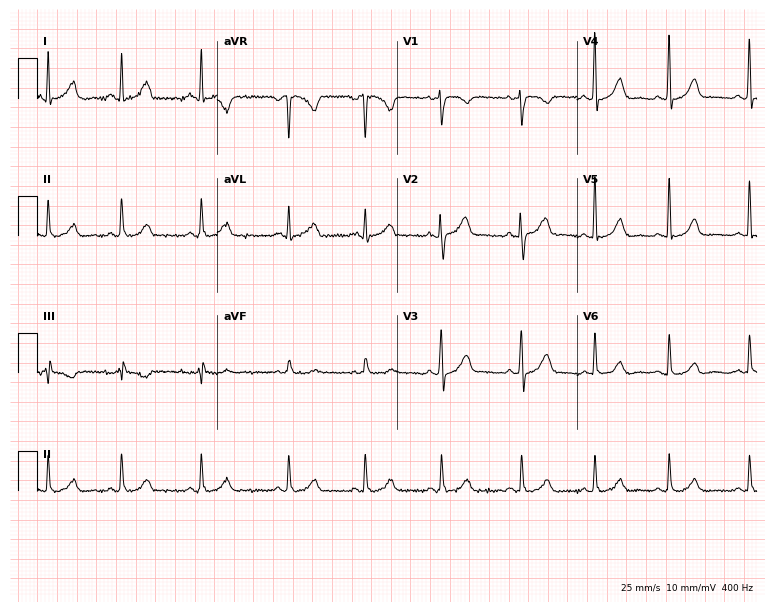
Resting 12-lead electrocardiogram (7.3-second recording at 400 Hz). Patient: a 37-year-old female. Read as a normal ECG.